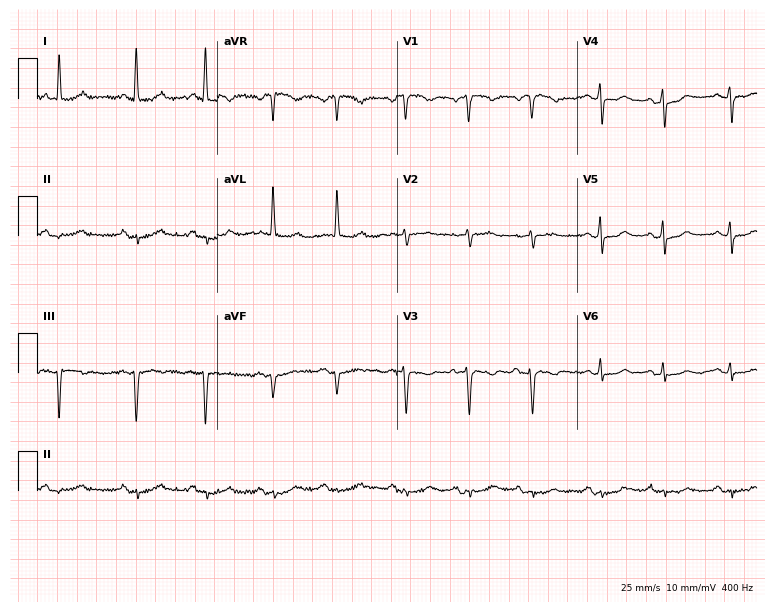
12-lead ECG (7.3-second recording at 400 Hz) from a woman, 78 years old. Screened for six findings — first-degree AV block, right bundle branch block, left bundle branch block, sinus bradycardia, atrial fibrillation, sinus tachycardia — none is recorded. Only these six findings were labelled.